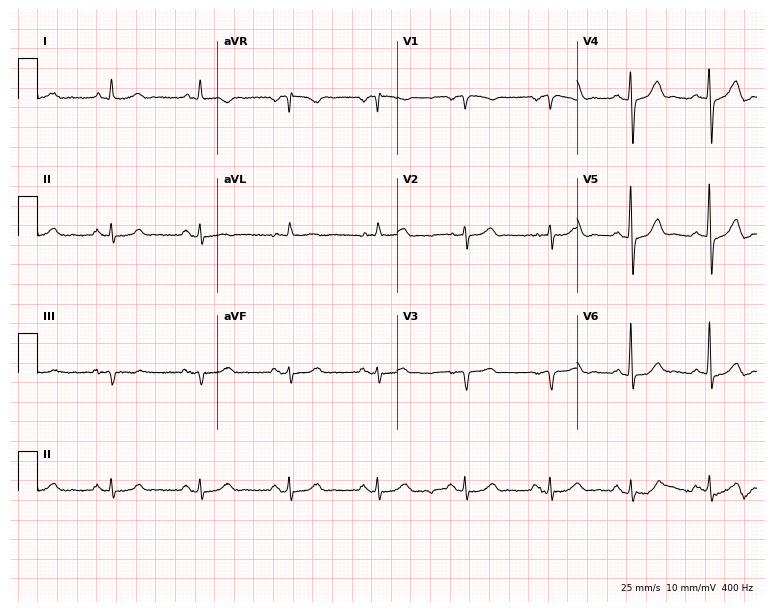
ECG (7.3-second recording at 400 Hz) — a woman, 74 years old. Labelled as a normal ECG.